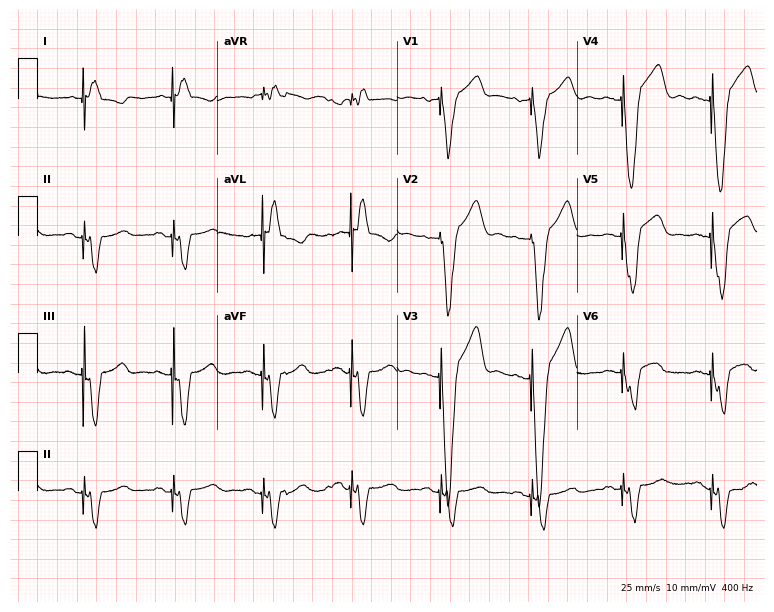
12-lead ECG (7.3-second recording at 400 Hz) from a man, 67 years old. Screened for six findings — first-degree AV block, right bundle branch block, left bundle branch block, sinus bradycardia, atrial fibrillation, sinus tachycardia — none is recorded. Findings outside these six are not listed.